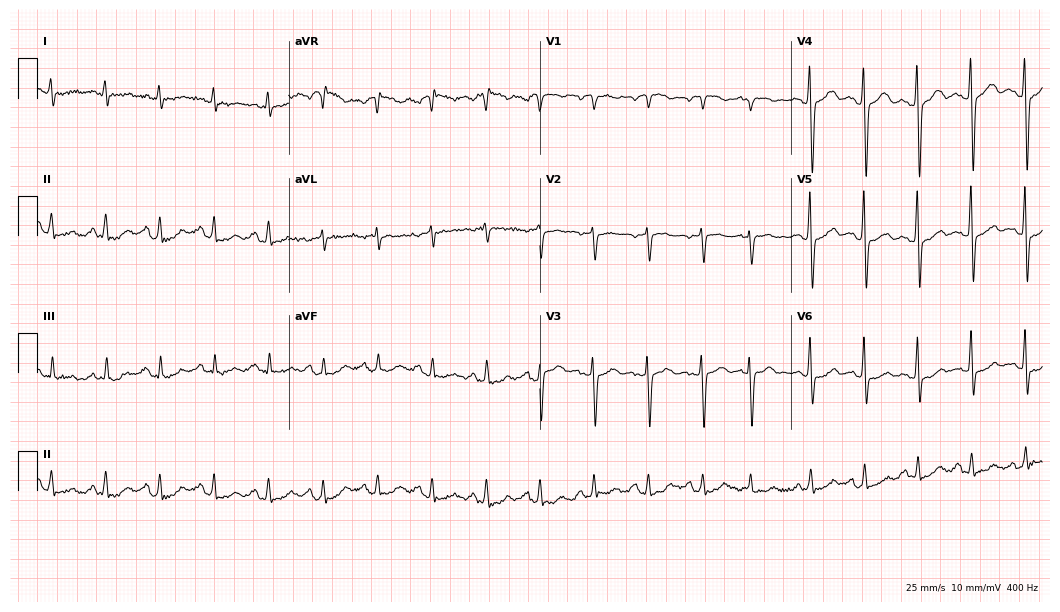
Resting 12-lead electrocardiogram (10.2-second recording at 400 Hz). Patient: a female, 61 years old. None of these six findings is recorded: first-degree AV block, right bundle branch block (RBBB), left bundle branch block (LBBB), sinus bradycardia, atrial fibrillation (AF), sinus tachycardia.